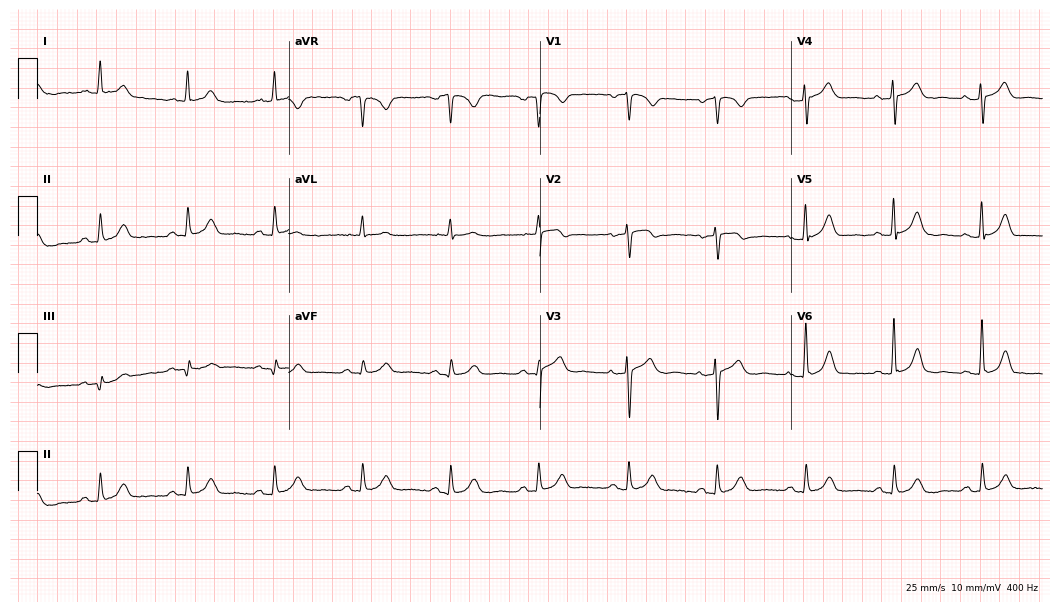
Electrocardiogram (10.2-second recording at 400 Hz), a female, 80 years old. Overall reading on record: normal ECG.